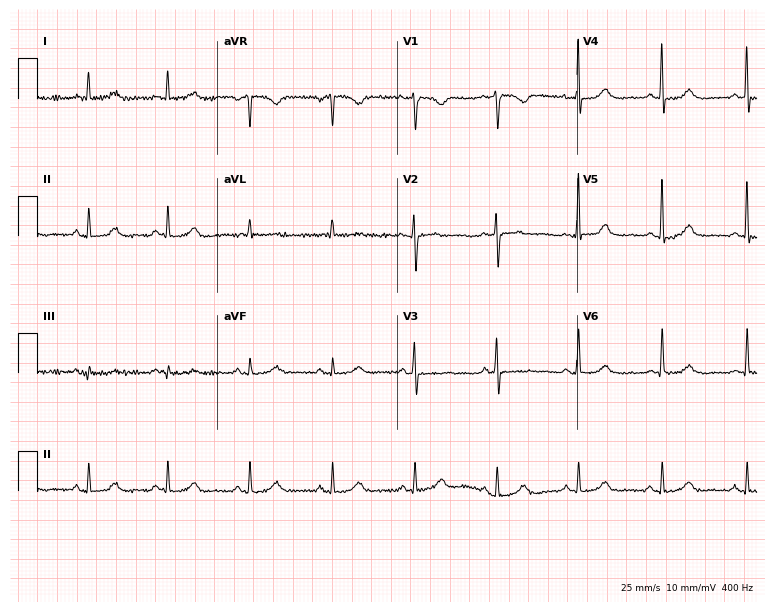
12-lead ECG from a female patient, 54 years old. Recorded interpretation: within normal limits.